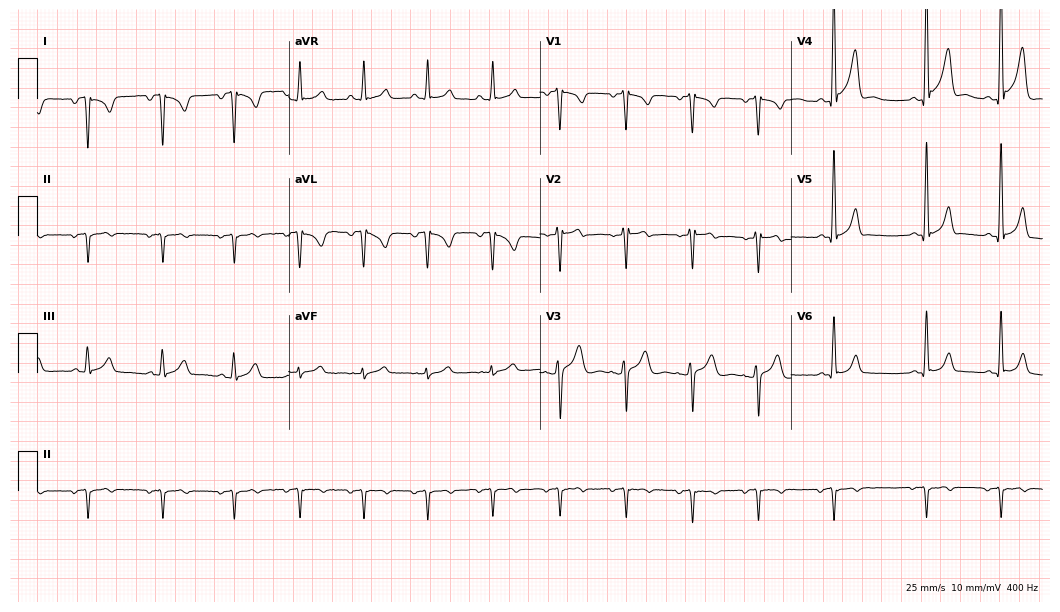
12-lead ECG from a 31-year-old male patient. Screened for six findings — first-degree AV block, right bundle branch block (RBBB), left bundle branch block (LBBB), sinus bradycardia, atrial fibrillation (AF), sinus tachycardia — none is recorded.